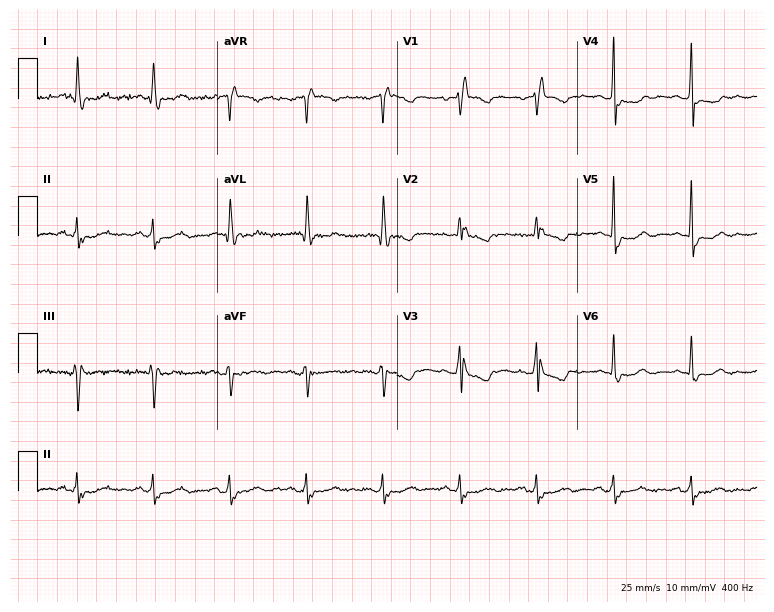
12-lead ECG from a woman, 60 years old. Findings include right bundle branch block.